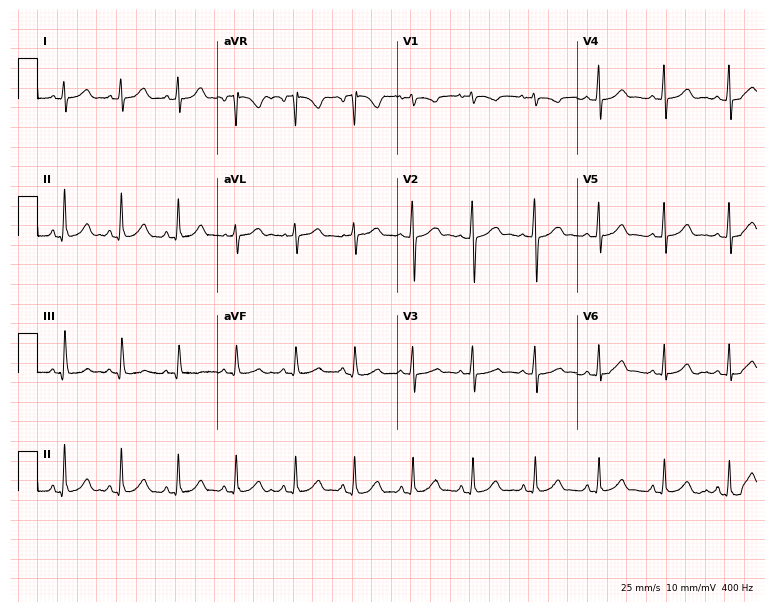
12-lead ECG from a 23-year-old female patient. Recorded interpretation: within normal limits.